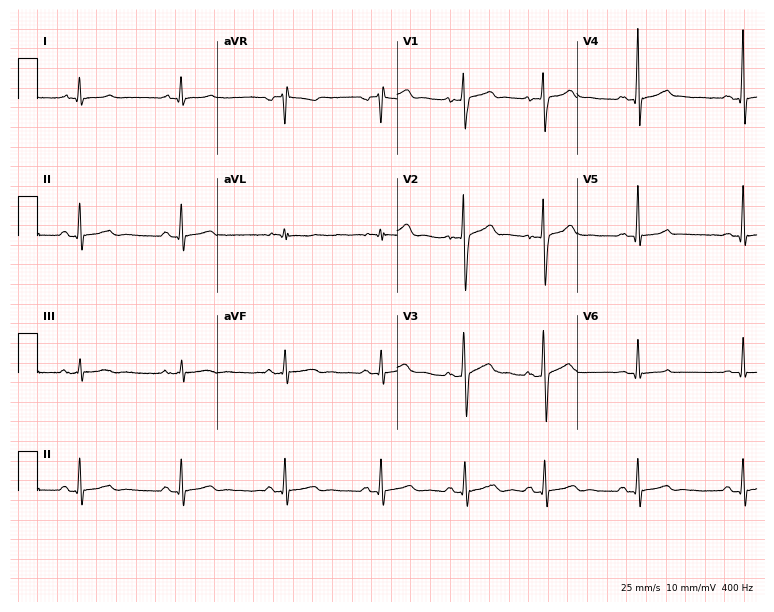
Resting 12-lead electrocardiogram. Patient: an 18-year-old male. None of these six findings is recorded: first-degree AV block, right bundle branch block, left bundle branch block, sinus bradycardia, atrial fibrillation, sinus tachycardia. Findings outside these six are not listed.